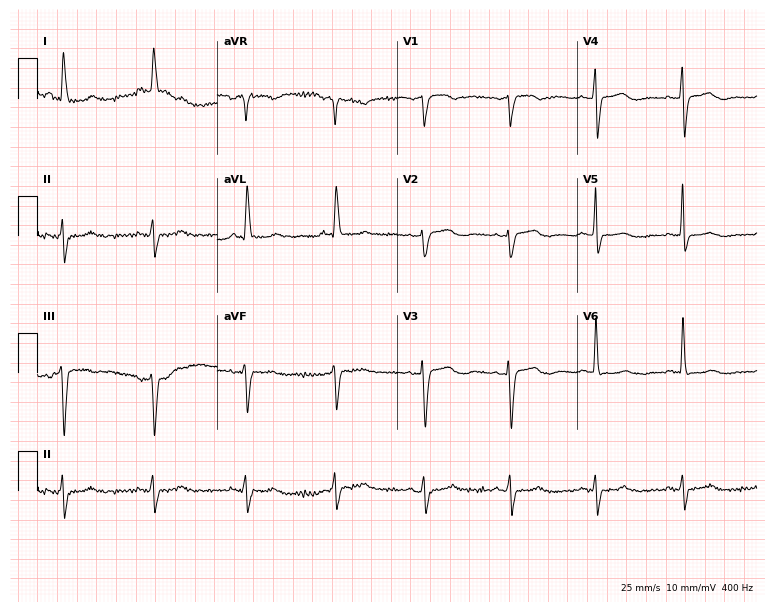
Standard 12-lead ECG recorded from a 70-year-old woman (7.3-second recording at 400 Hz). None of these six findings is recorded: first-degree AV block, right bundle branch block, left bundle branch block, sinus bradycardia, atrial fibrillation, sinus tachycardia. Findings outside these six are not listed.